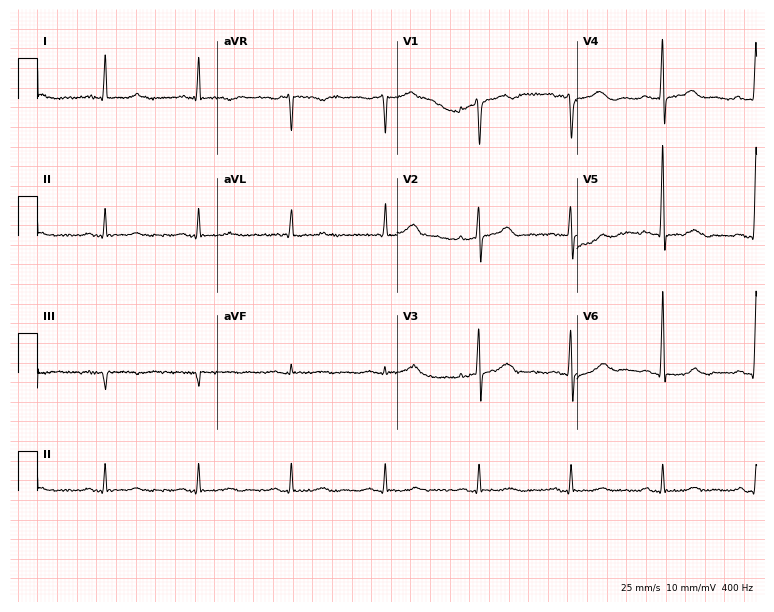
Electrocardiogram, a man, 66 years old. Overall reading on record: normal ECG.